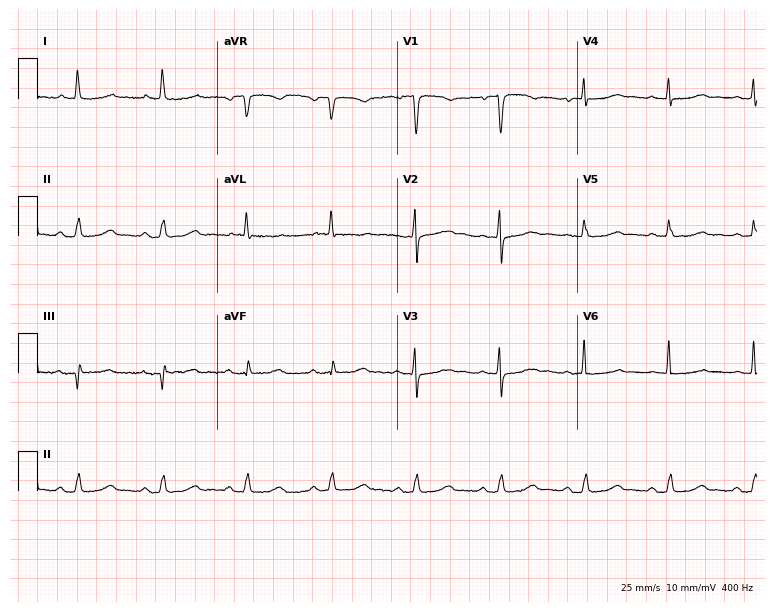
Resting 12-lead electrocardiogram (7.3-second recording at 400 Hz). Patient: a woman, 76 years old. Read as a normal ECG.